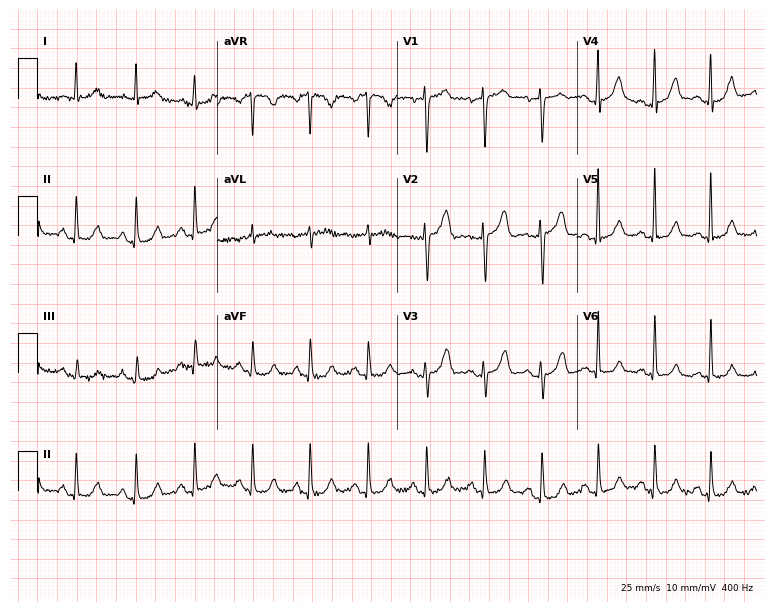
Resting 12-lead electrocardiogram (7.3-second recording at 400 Hz). Patient: a female, 55 years old. The tracing shows sinus tachycardia (a sinus rate of 100 beats per minute or more).